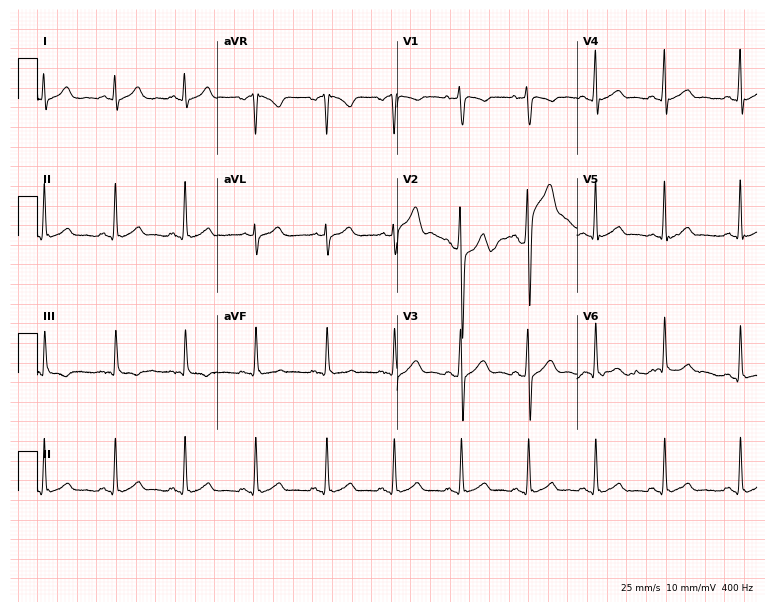
Standard 12-lead ECG recorded from a 28-year-old male (7.3-second recording at 400 Hz). Read as a normal ECG.